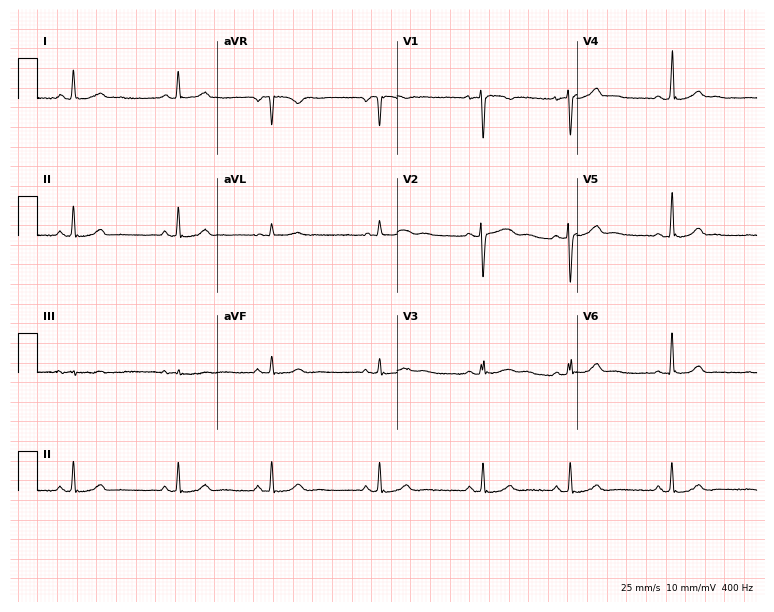
Electrocardiogram, a 17-year-old woman. Overall reading on record: normal ECG.